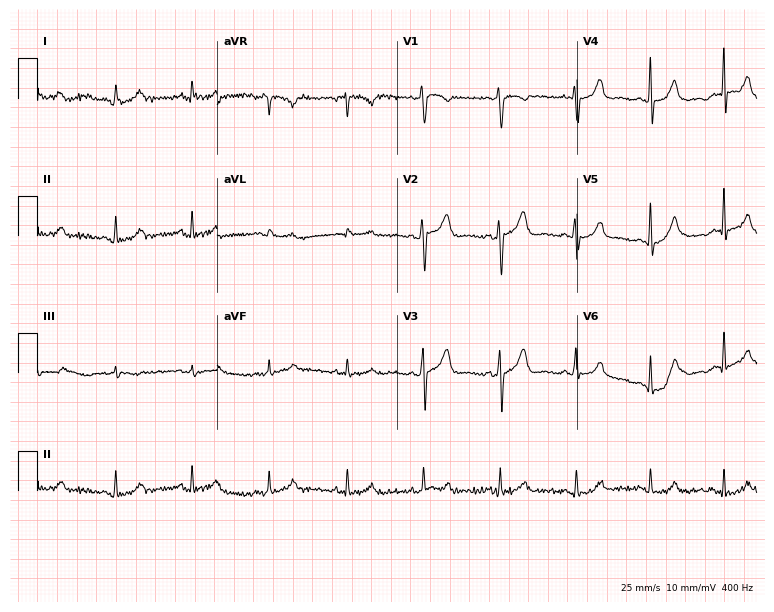
Resting 12-lead electrocardiogram (7.3-second recording at 400 Hz). Patient: a 40-year-old man. None of these six findings is recorded: first-degree AV block, right bundle branch block, left bundle branch block, sinus bradycardia, atrial fibrillation, sinus tachycardia. Only these six findings were labelled.